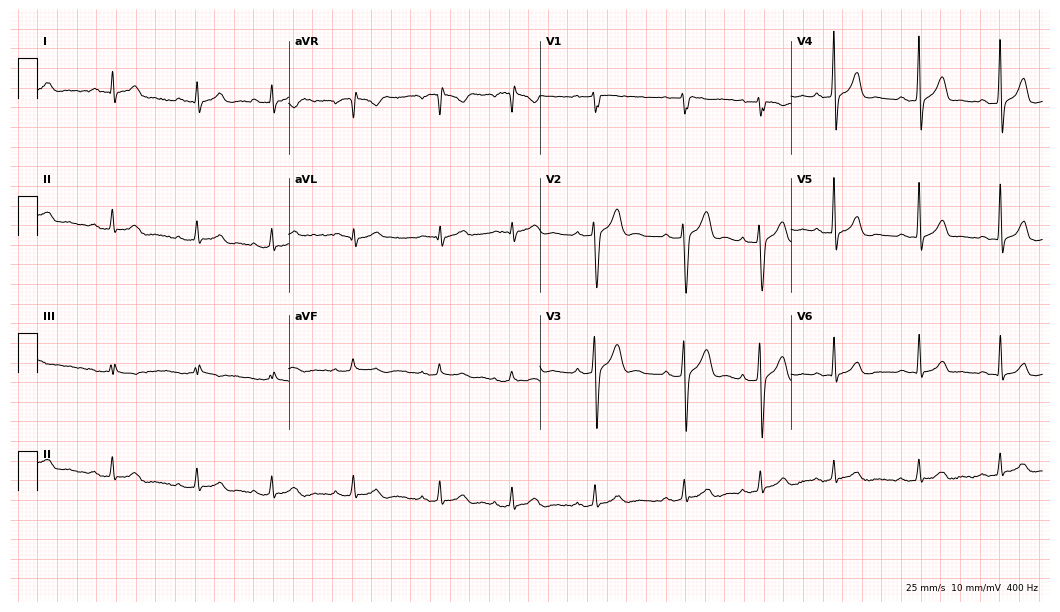
12-lead ECG from a man, 25 years old. Screened for six findings — first-degree AV block, right bundle branch block (RBBB), left bundle branch block (LBBB), sinus bradycardia, atrial fibrillation (AF), sinus tachycardia — none is recorded.